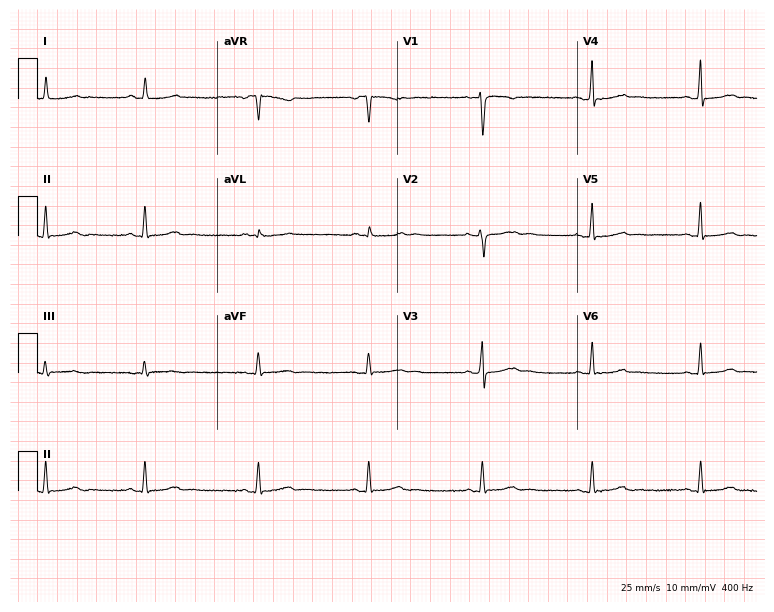
Standard 12-lead ECG recorded from a 19-year-old woman (7.3-second recording at 400 Hz). Read as a normal ECG.